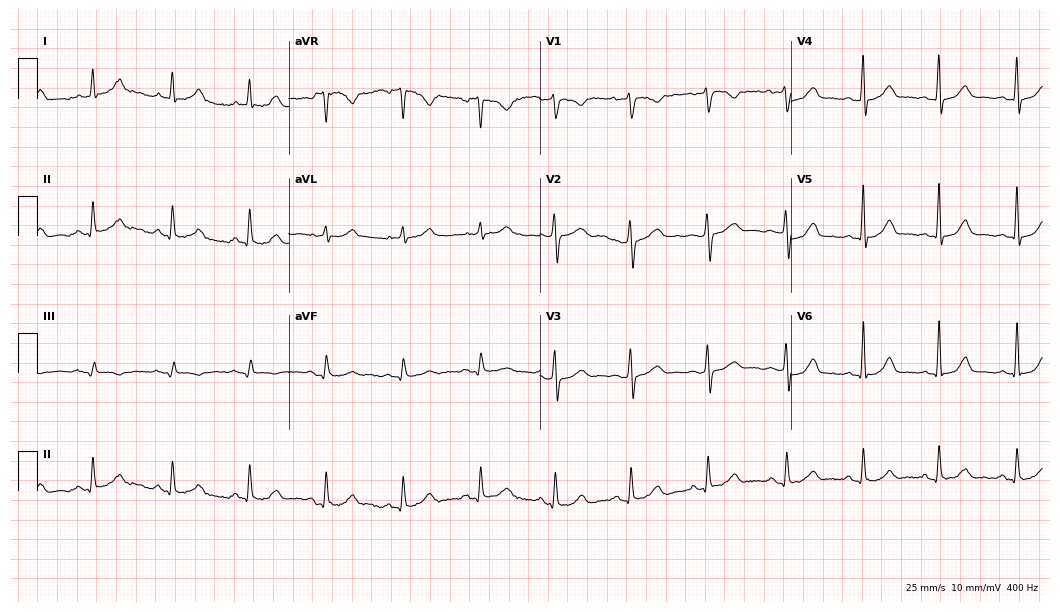
12-lead ECG from a 42-year-old woman. Labelled as a normal ECG.